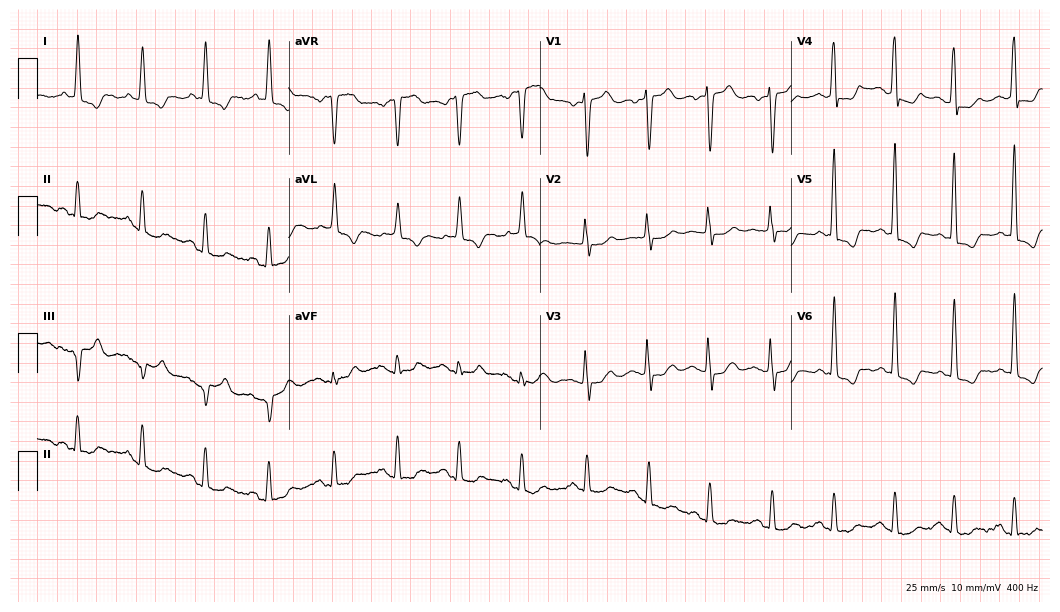
12-lead ECG (10.2-second recording at 400 Hz) from a 75-year-old female. Screened for six findings — first-degree AV block, right bundle branch block, left bundle branch block, sinus bradycardia, atrial fibrillation, sinus tachycardia — none is recorded. Findings outside these six are not listed.